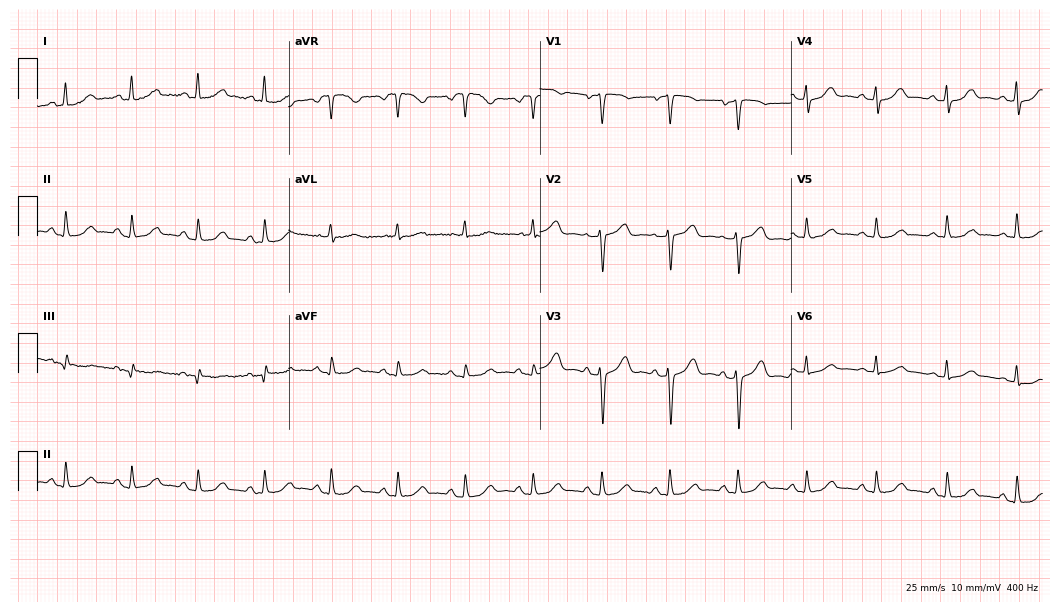
12-lead ECG from a 70-year-old female patient (10.2-second recording at 400 Hz). No first-degree AV block, right bundle branch block, left bundle branch block, sinus bradycardia, atrial fibrillation or sinus tachycardia recorded for this tracing. Findings outside these six are not listed.